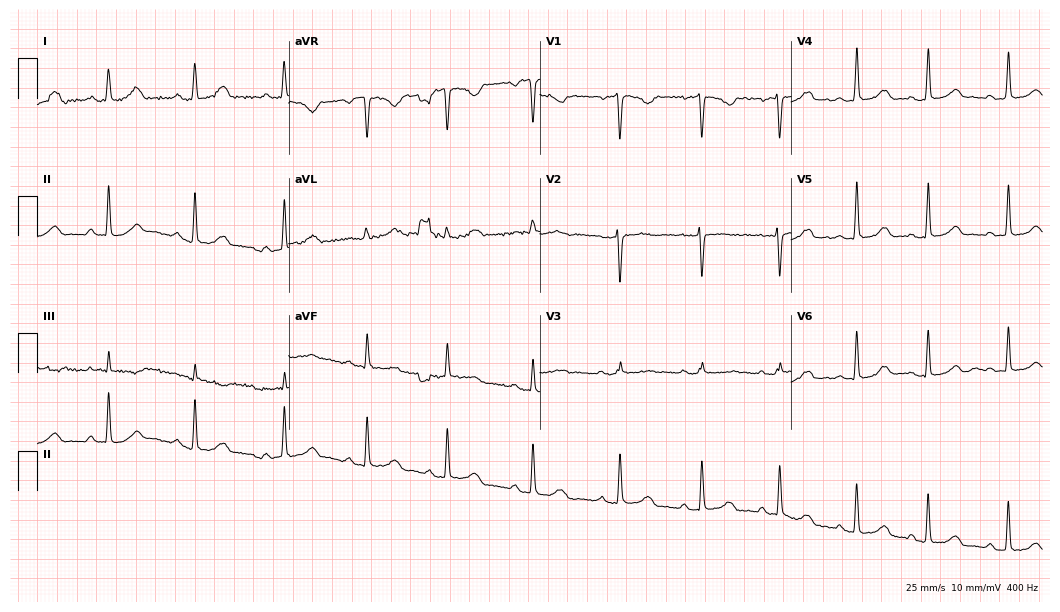
Standard 12-lead ECG recorded from a 28-year-old female patient (10.2-second recording at 400 Hz). Read as a normal ECG.